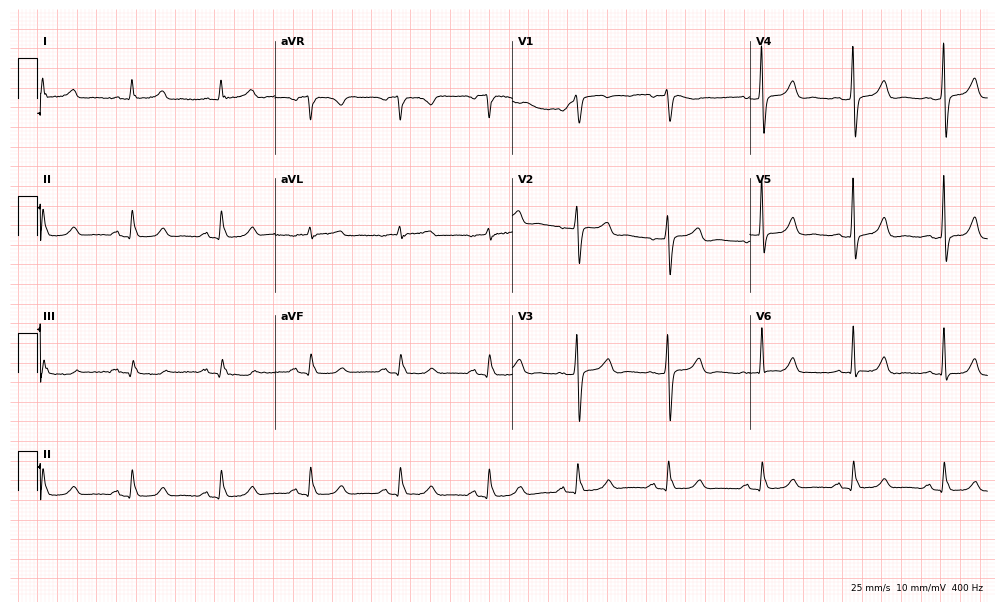
Resting 12-lead electrocardiogram (9.7-second recording at 400 Hz). Patient: a 64-year-old female. Read as a normal ECG.